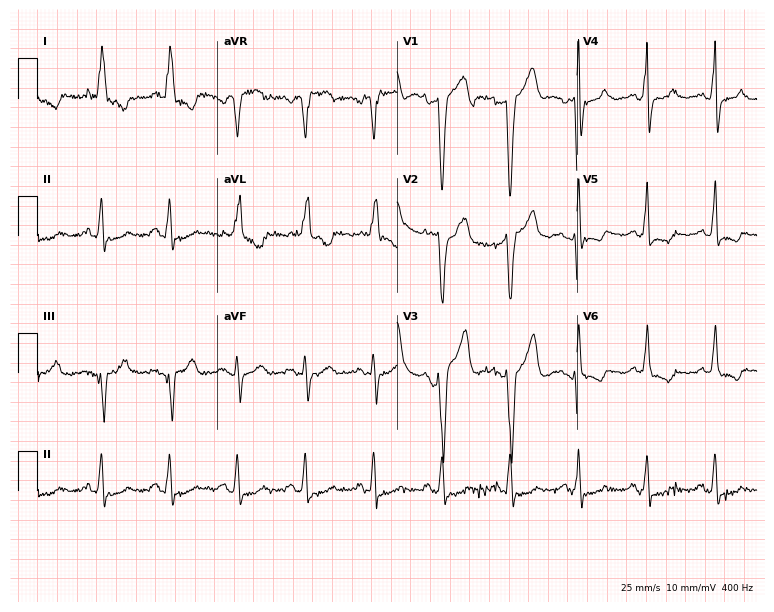
Resting 12-lead electrocardiogram (7.3-second recording at 400 Hz). Patient: a 71-year-old female. None of these six findings is recorded: first-degree AV block, right bundle branch block (RBBB), left bundle branch block (LBBB), sinus bradycardia, atrial fibrillation (AF), sinus tachycardia. Other findings, if any, are not listed.